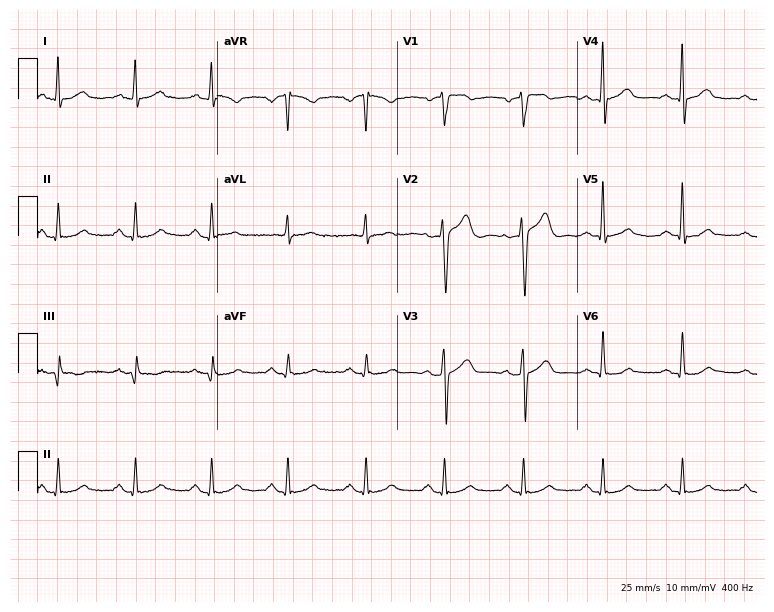
Resting 12-lead electrocardiogram (7.3-second recording at 400 Hz). Patient: a 56-year-old man. Read as a normal ECG.